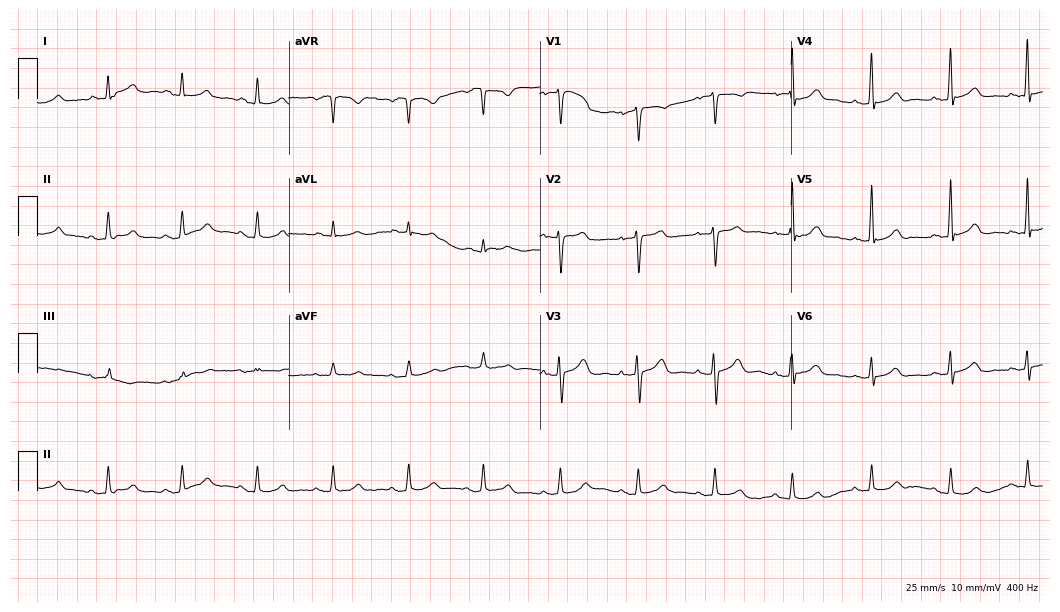
Resting 12-lead electrocardiogram. Patient: a 47-year-old female. None of these six findings is recorded: first-degree AV block, right bundle branch block (RBBB), left bundle branch block (LBBB), sinus bradycardia, atrial fibrillation (AF), sinus tachycardia.